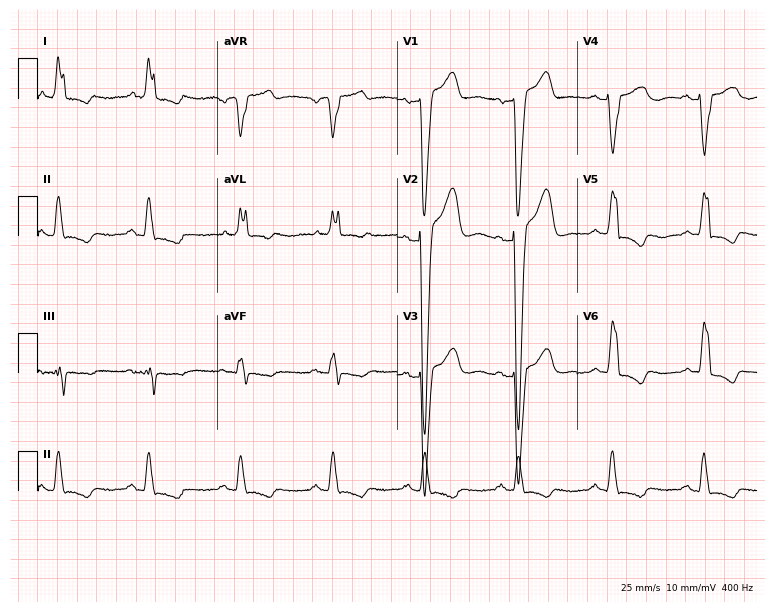
Resting 12-lead electrocardiogram. Patient: a 76-year-old male. The tracing shows left bundle branch block.